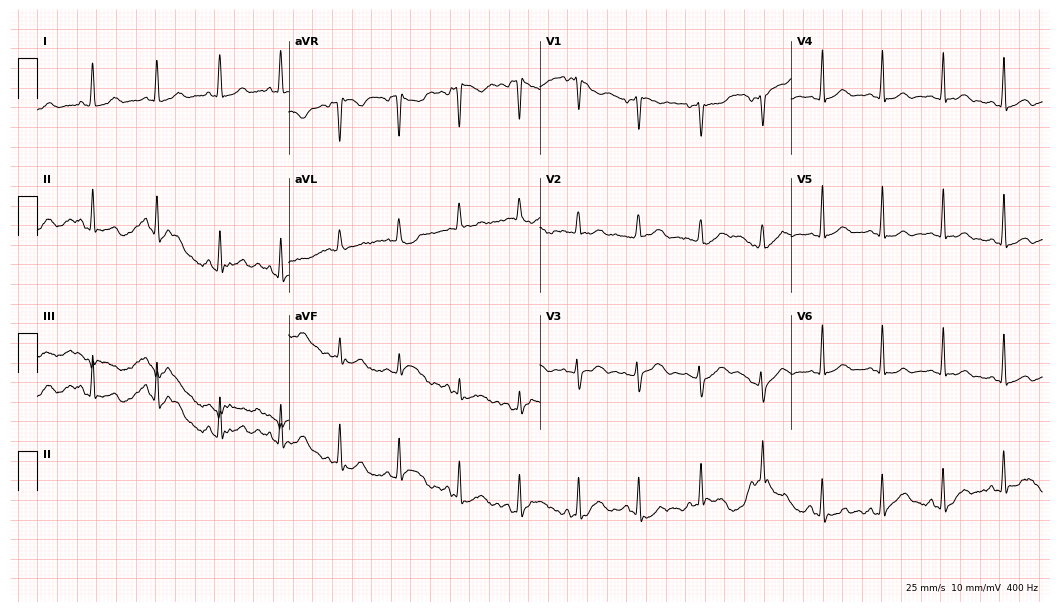
Electrocardiogram (10.2-second recording at 400 Hz), a 28-year-old woman. Overall reading on record: normal ECG.